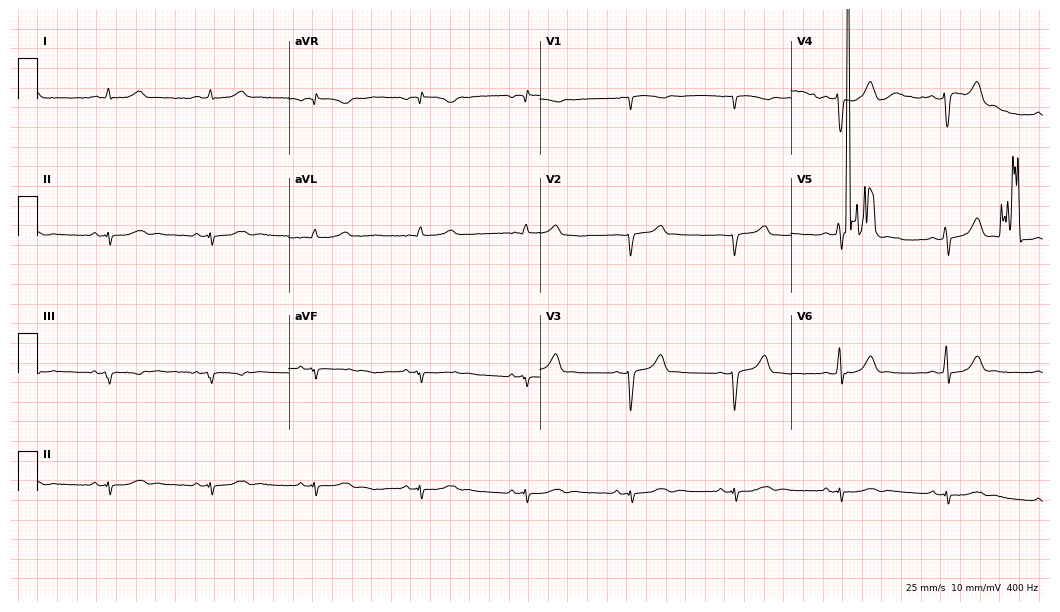
ECG — a 67-year-old male patient. Screened for six findings — first-degree AV block, right bundle branch block (RBBB), left bundle branch block (LBBB), sinus bradycardia, atrial fibrillation (AF), sinus tachycardia — none is recorded.